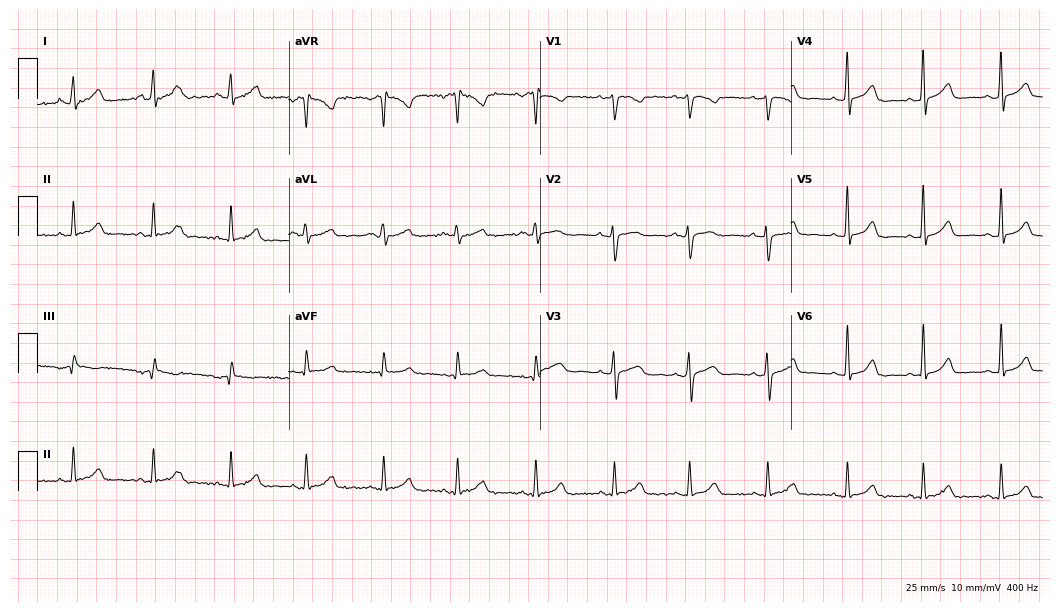
Electrocardiogram (10.2-second recording at 400 Hz), a 28-year-old female. Overall reading on record: normal ECG.